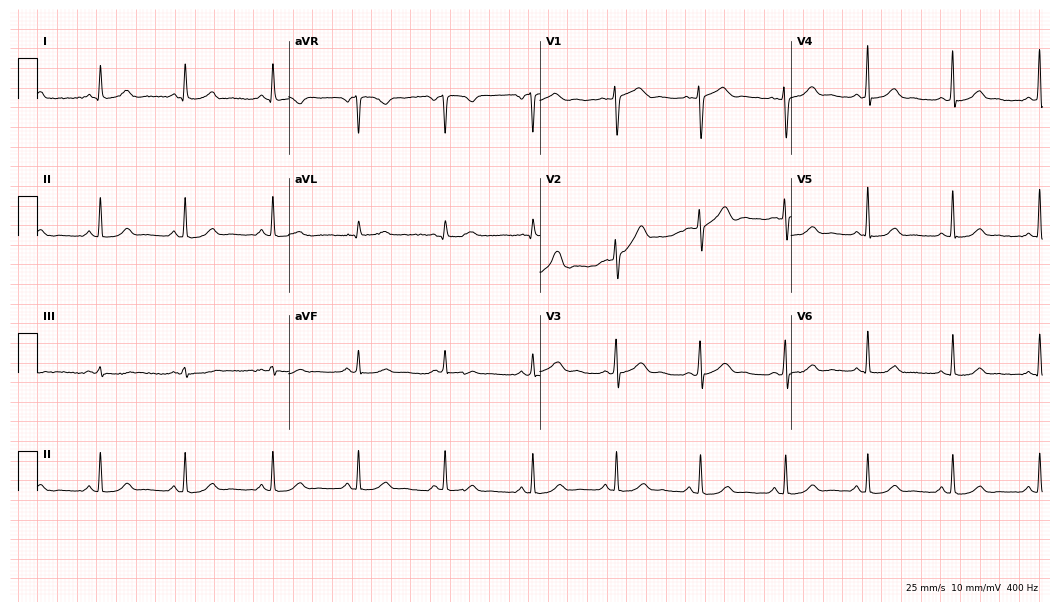
Resting 12-lead electrocardiogram (10.2-second recording at 400 Hz). Patient: a 35-year-old female. Read as a normal ECG.